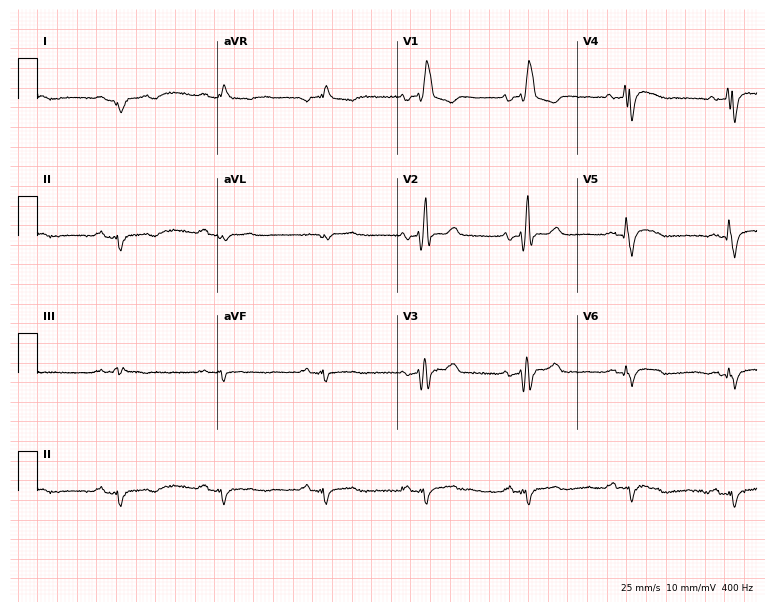
ECG (7.3-second recording at 400 Hz) — a 61-year-old male. Findings include right bundle branch block.